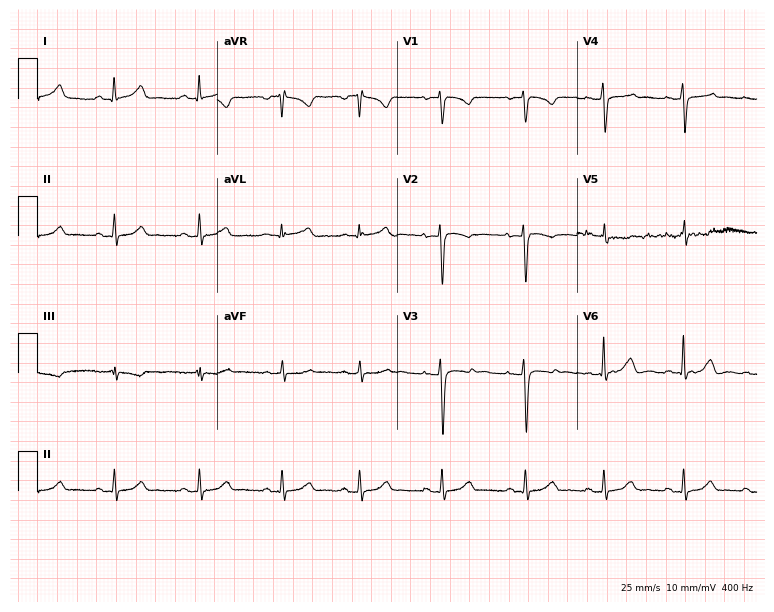
12-lead ECG (7.3-second recording at 400 Hz) from a 37-year-old woman. Labelled as a normal ECG.